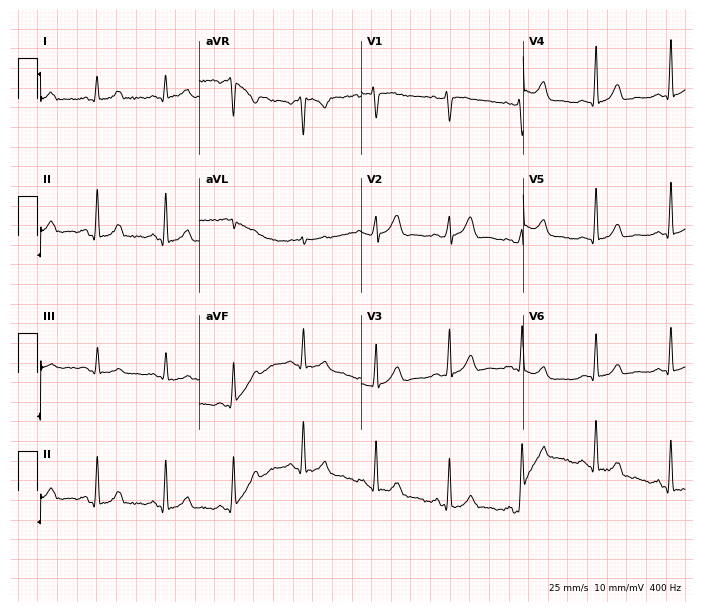
ECG (6.6-second recording at 400 Hz) — a female, 43 years old. Labelled as a normal ECG.